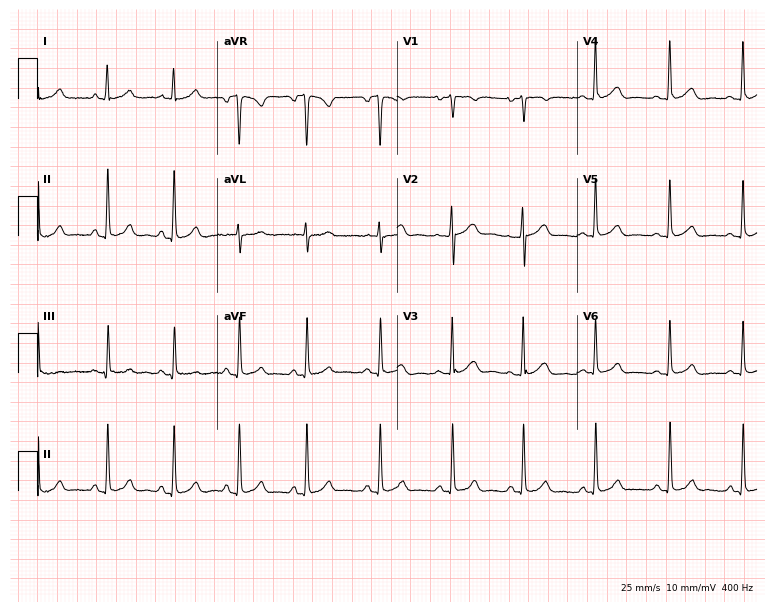
ECG — a female patient, 24 years old. Labelled as a normal ECG.